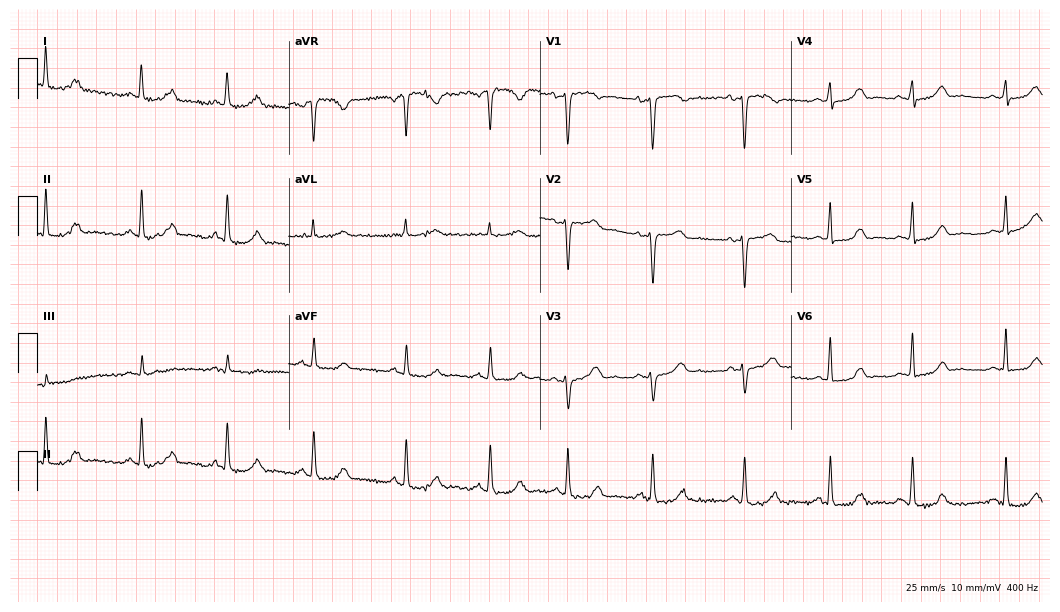
12-lead ECG from a female, 40 years old. No first-degree AV block, right bundle branch block (RBBB), left bundle branch block (LBBB), sinus bradycardia, atrial fibrillation (AF) or sinus tachycardia recorded for this tracing.